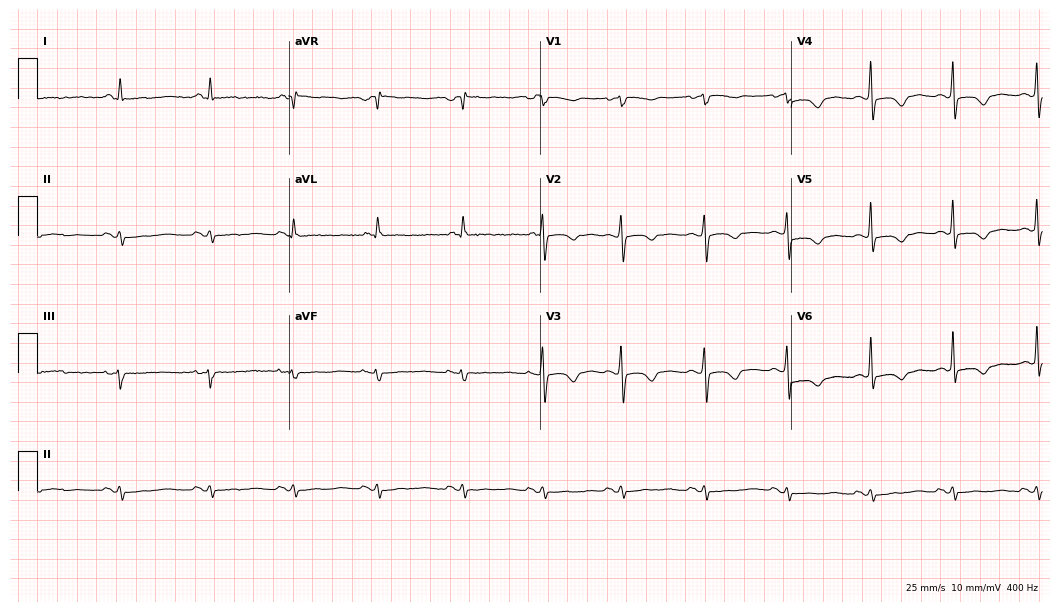
ECG (10.2-second recording at 400 Hz) — a 52-year-old female. Screened for six findings — first-degree AV block, right bundle branch block, left bundle branch block, sinus bradycardia, atrial fibrillation, sinus tachycardia — none is recorded.